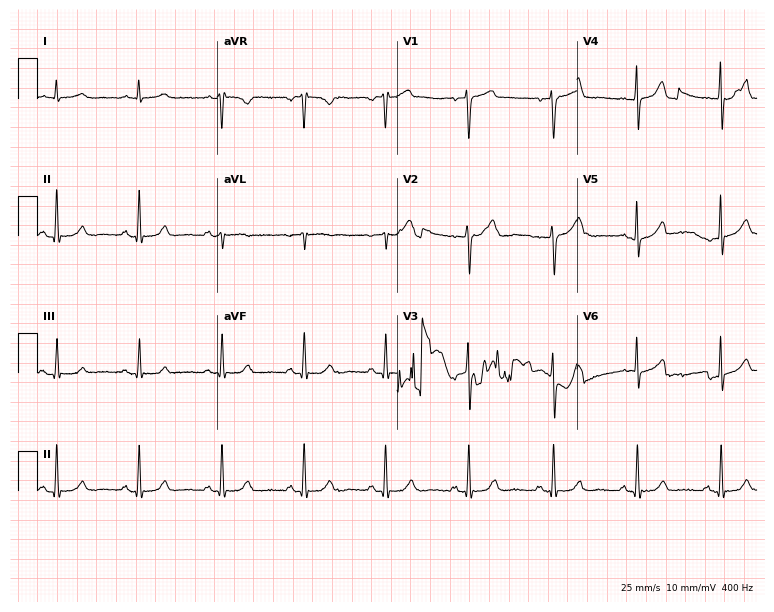
Electrocardiogram (7.3-second recording at 400 Hz), a man, 70 years old. Of the six screened findings (first-degree AV block, right bundle branch block, left bundle branch block, sinus bradycardia, atrial fibrillation, sinus tachycardia), none is recorded.